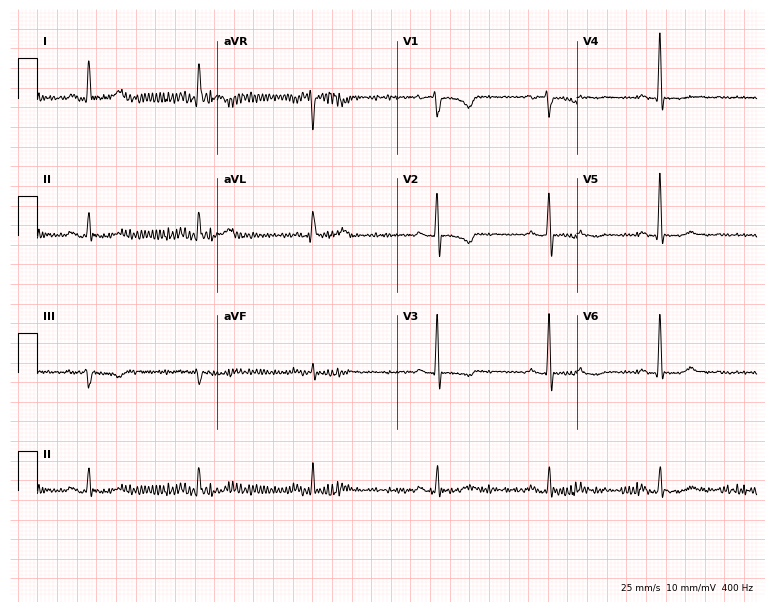
12-lead ECG from a 59-year-old female patient. Screened for six findings — first-degree AV block, right bundle branch block, left bundle branch block, sinus bradycardia, atrial fibrillation, sinus tachycardia — none is recorded. Other findings, if any, are not listed.